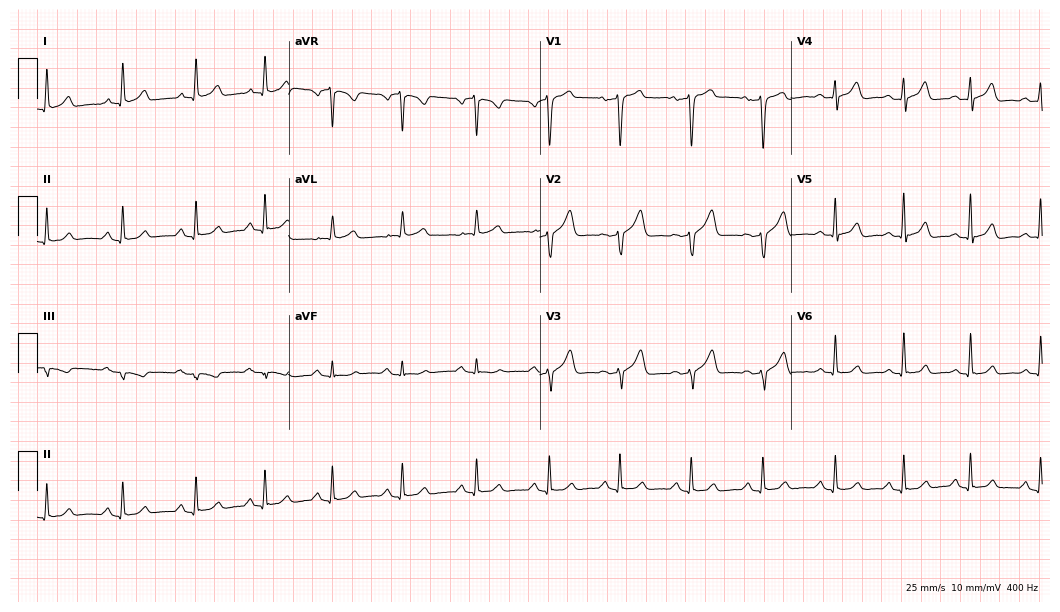
12-lead ECG (10.2-second recording at 400 Hz) from a 57-year-old female. Labelled as a normal ECG.